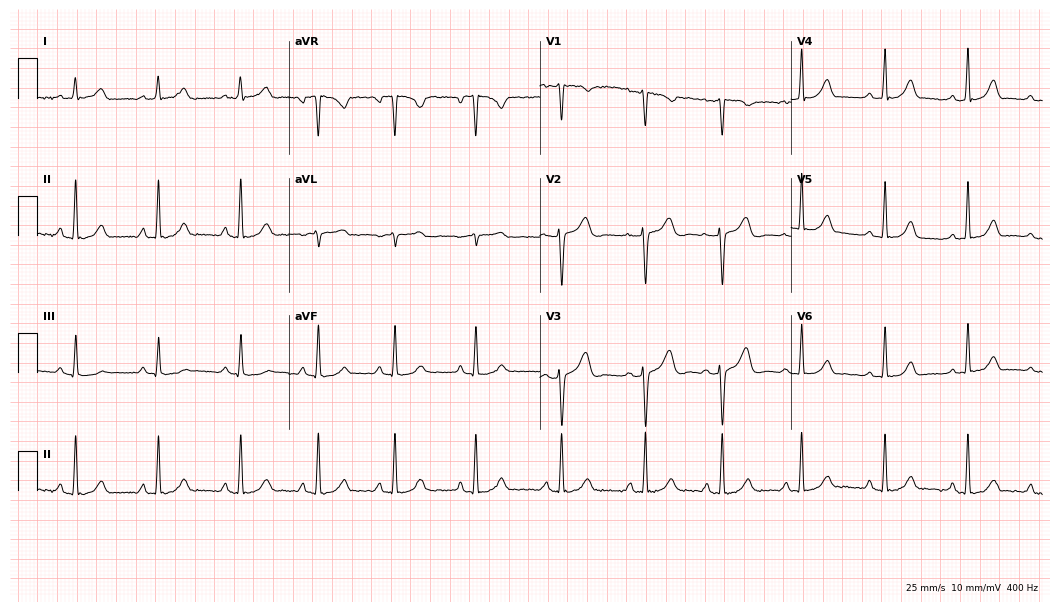
Standard 12-lead ECG recorded from a 31-year-old woman. Read as a normal ECG.